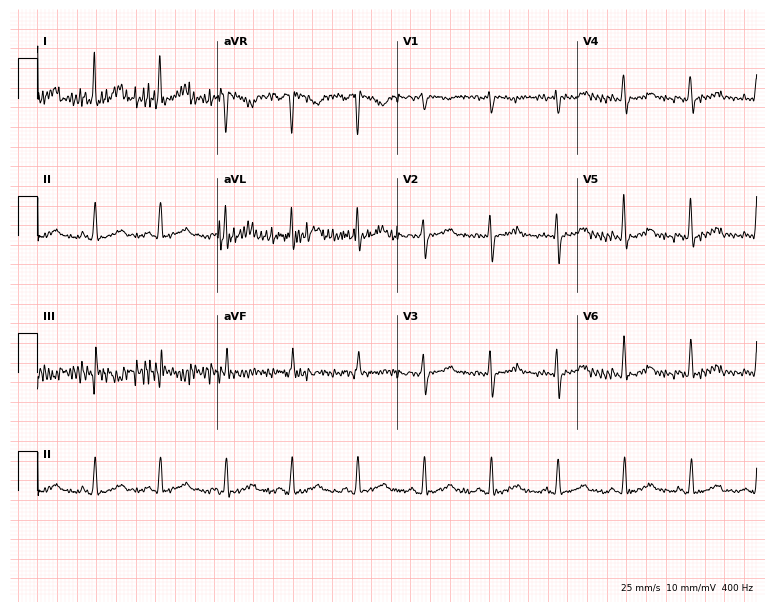
Electrocardiogram (7.3-second recording at 400 Hz), a 57-year-old female. Overall reading on record: normal ECG.